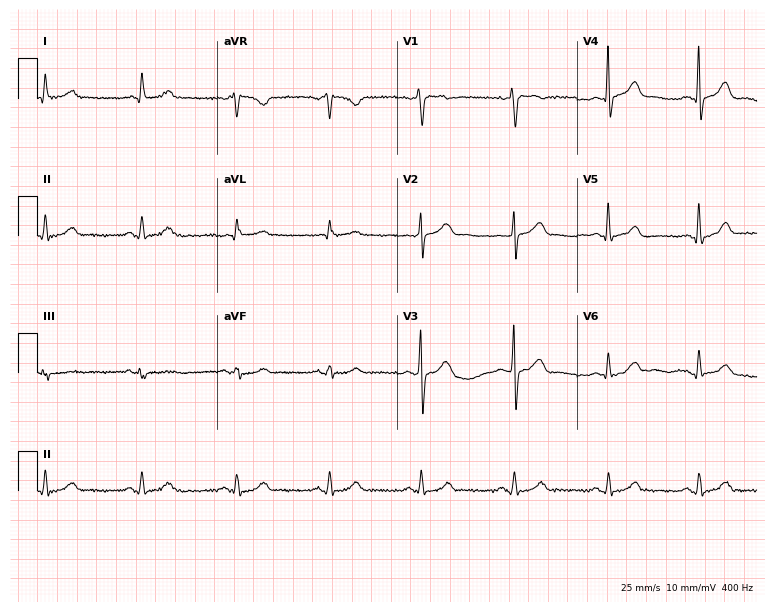
12-lead ECG from a 50-year-old male. Screened for six findings — first-degree AV block, right bundle branch block, left bundle branch block, sinus bradycardia, atrial fibrillation, sinus tachycardia — none is recorded.